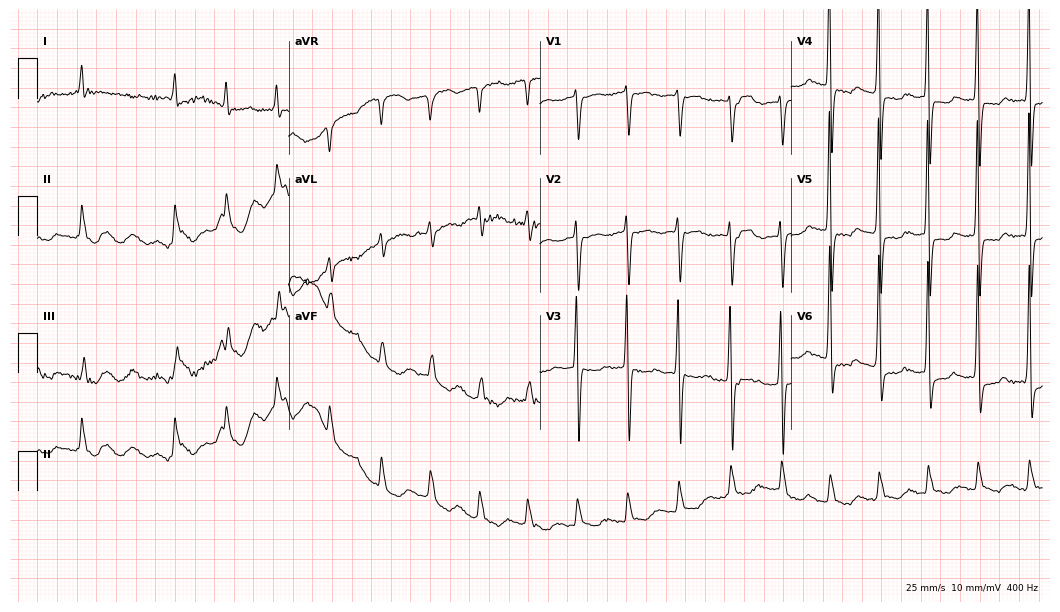
12-lead ECG (10.2-second recording at 400 Hz) from a male, 82 years old. Screened for six findings — first-degree AV block, right bundle branch block, left bundle branch block, sinus bradycardia, atrial fibrillation, sinus tachycardia — none is recorded. Other findings, if any, are not listed.